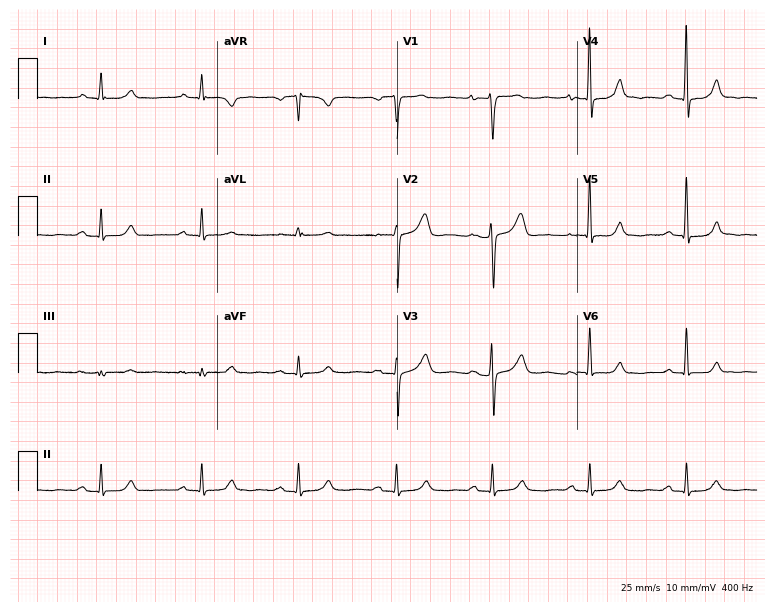
ECG — a female patient, 58 years old. Screened for six findings — first-degree AV block, right bundle branch block (RBBB), left bundle branch block (LBBB), sinus bradycardia, atrial fibrillation (AF), sinus tachycardia — none is recorded.